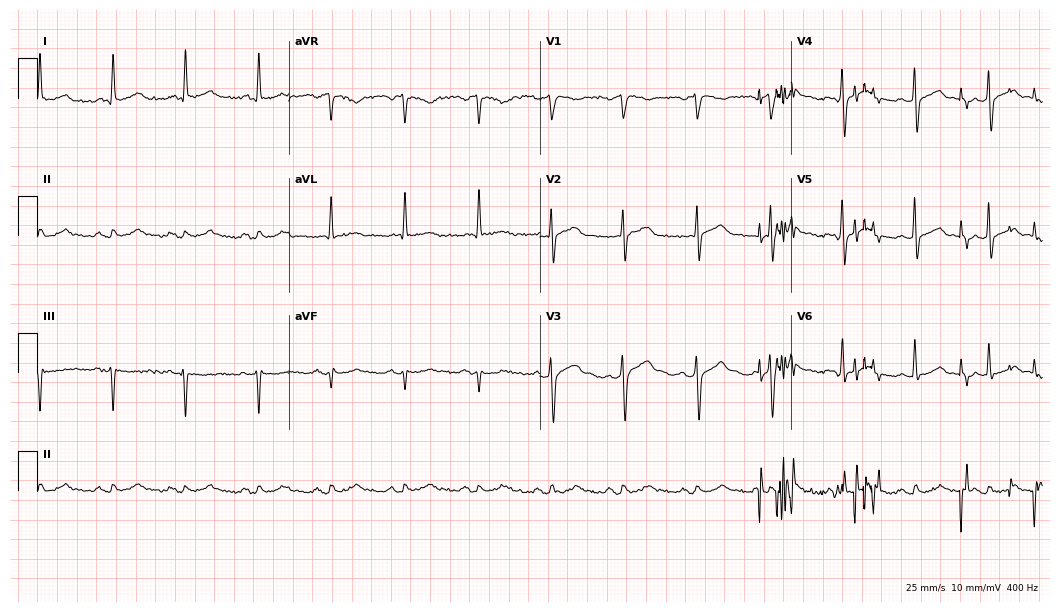
Standard 12-lead ECG recorded from a 70-year-old male. Read as a normal ECG.